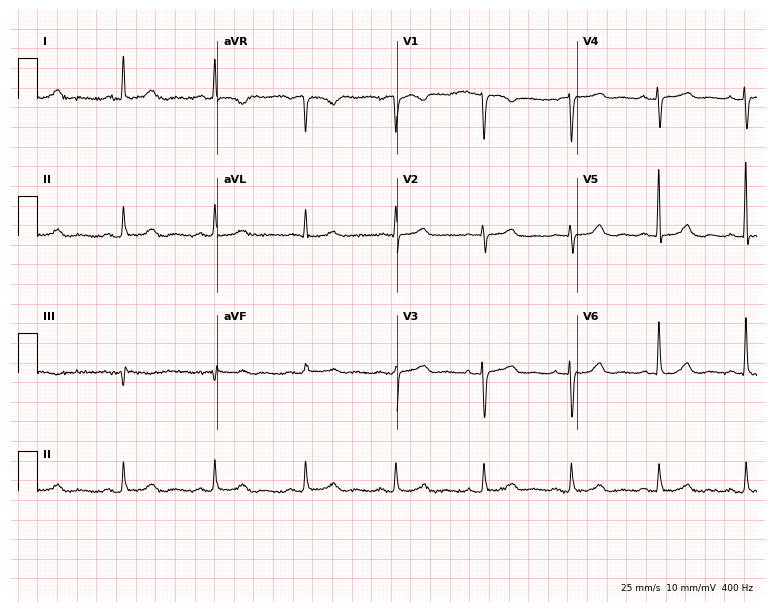
Standard 12-lead ECG recorded from a 79-year-old female patient. Read as a normal ECG.